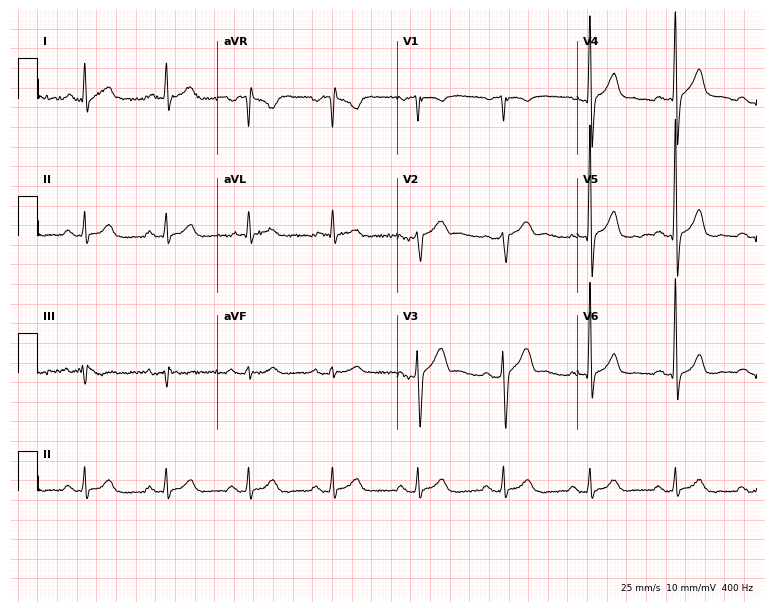
12-lead ECG (7.3-second recording at 400 Hz) from a man, 70 years old. Screened for six findings — first-degree AV block, right bundle branch block, left bundle branch block, sinus bradycardia, atrial fibrillation, sinus tachycardia — none is recorded.